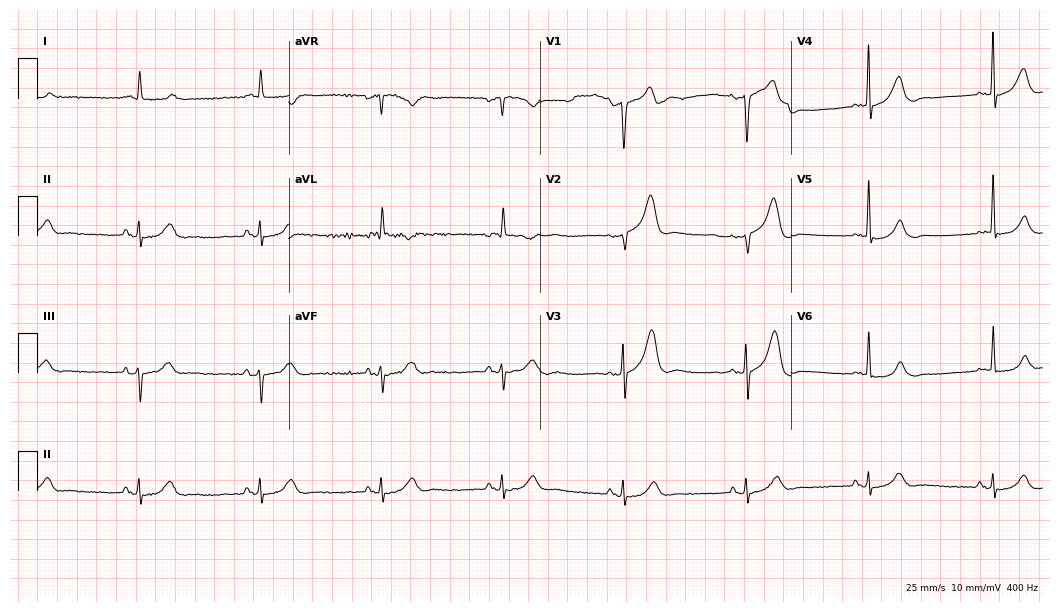
12-lead ECG from an 83-year-old female. Shows sinus bradycardia (a sinus rate of 50 beats per minute or less).